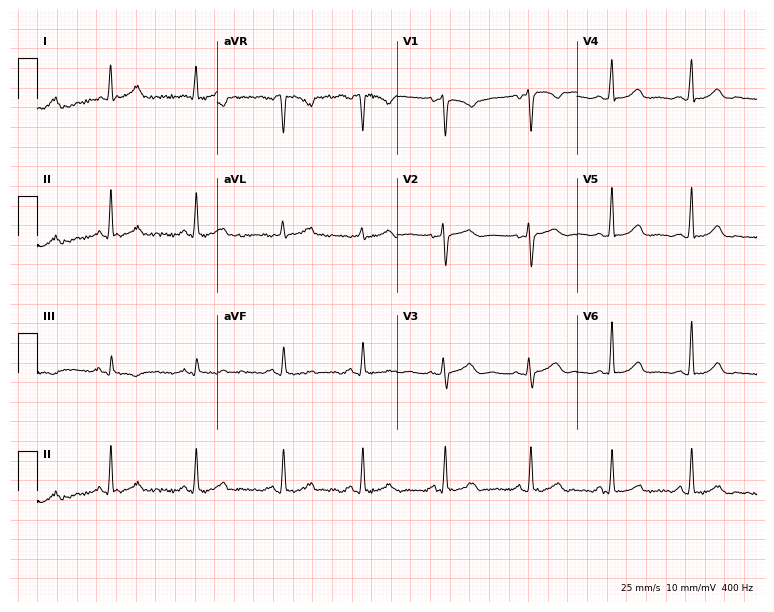
Electrocardiogram, a 35-year-old woman. Of the six screened findings (first-degree AV block, right bundle branch block, left bundle branch block, sinus bradycardia, atrial fibrillation, sinus tachycardia), none is recorded. Only these six findings were labelled.